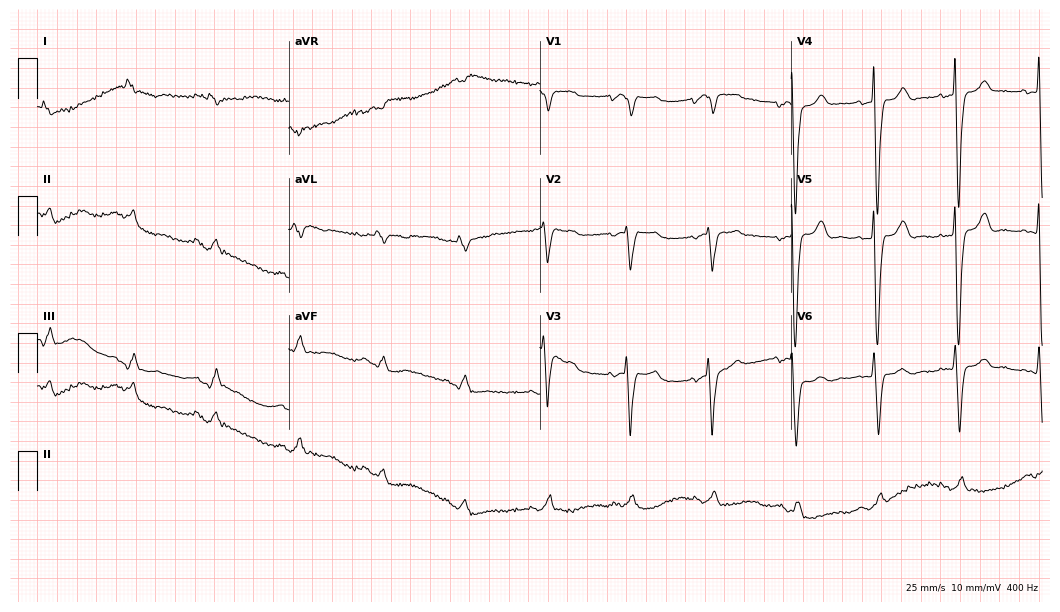
Resting 12-lead electrocardiogram (10.2-second recording at 400 Hz). Patient: a 74-year-old male. None of these six findings is recorded: first-degree AV block, right bundle branch block, left bundle branch block, sinus bradycardia, atrial fibrillation, sinus tachycardia. Other findings, if any, are not listed.